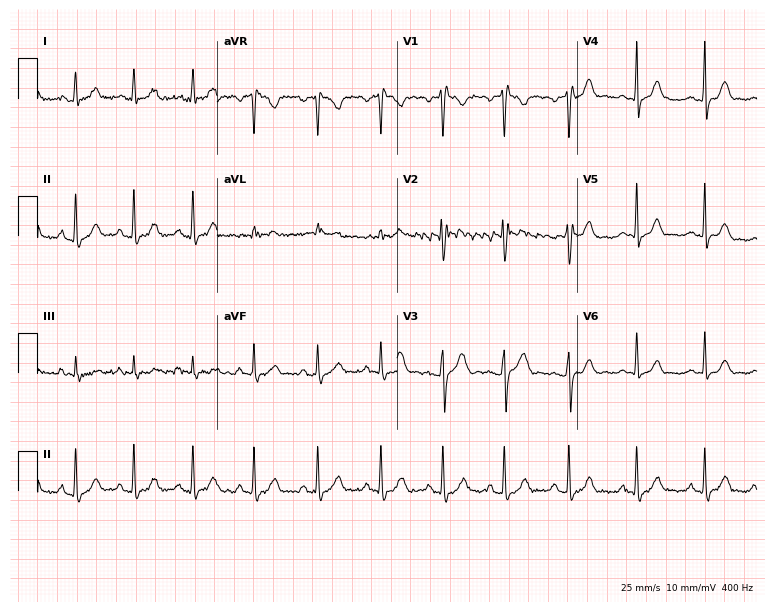
Electrocardiogram (7.3-second recording at 400 Hz), a female, 17 years old. Of the six screened findings (first-degree AV block, right bundle branch block, left bundle branch block, sinus bradycardia, atrial fibrillation, sinus tachycardia), none is recorded.